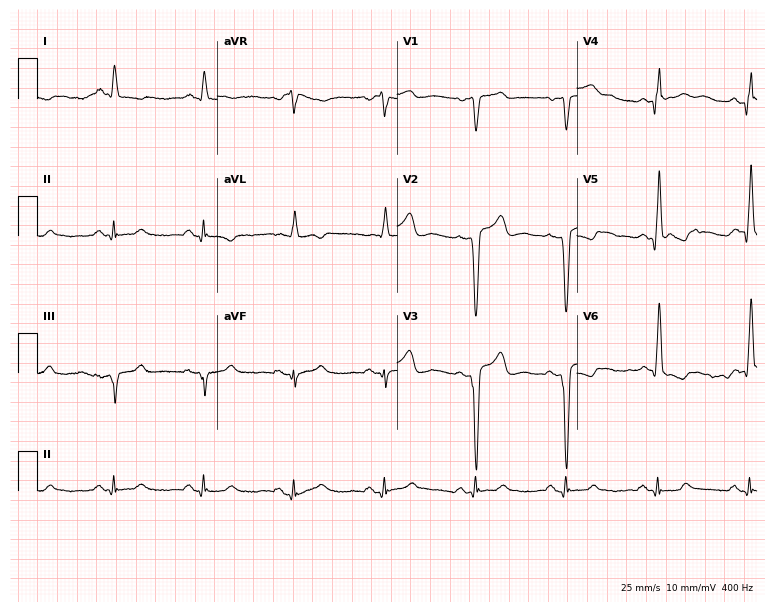
Electrocardiogram, a man, 71 years old. Of the six screened findings (first-degree AV block, right bundle branch block (RBBB), left bundle branch block (LBBB), sinus bradycardia, atrial fibrillation (AF), sinus tachycardia), none is recorded.